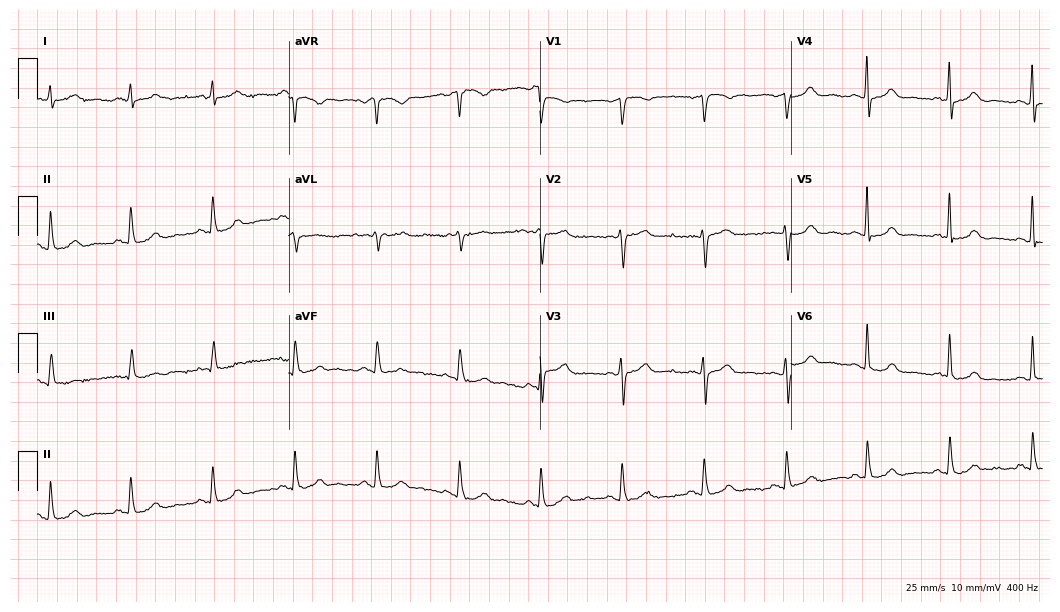
12-lead ECG from a 76-year-old female. Labelled as a normal ECG.